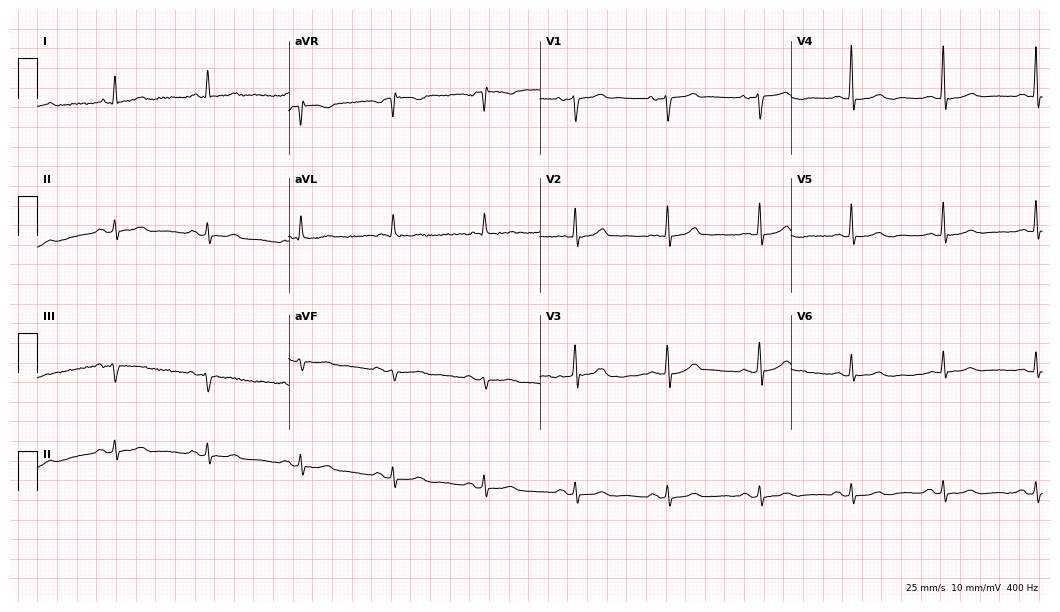
Electrocardiogram, a man, 75 years old. Overall reading on record: normal ECG.